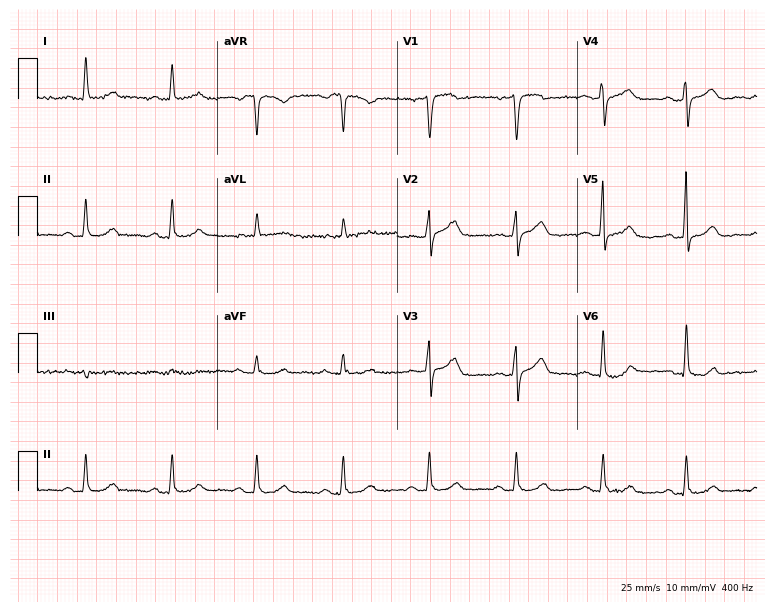
12-lead ECG from a 55-year-old female patient (7.3-second recording at 400 Hz). Recorded interpretation: within normal limits.